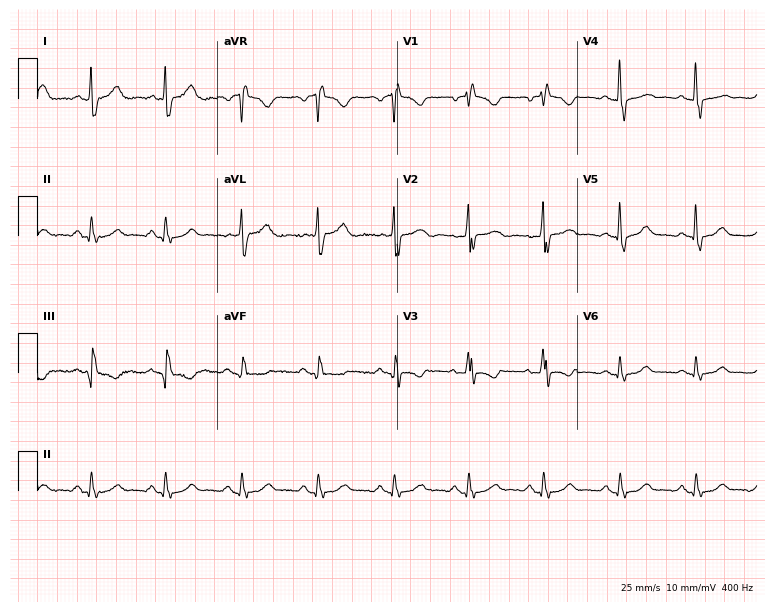
12-lead ECG from a 77-year-old female patient. Screened for six findings — first-degree AV block, right bundle branch block (RBBB), left bundle branch block (LBBB), sinus bradycardia, atrial fibrillation (AF), sinus tachycardia — none is recorded. Findings outside these six are not listed.